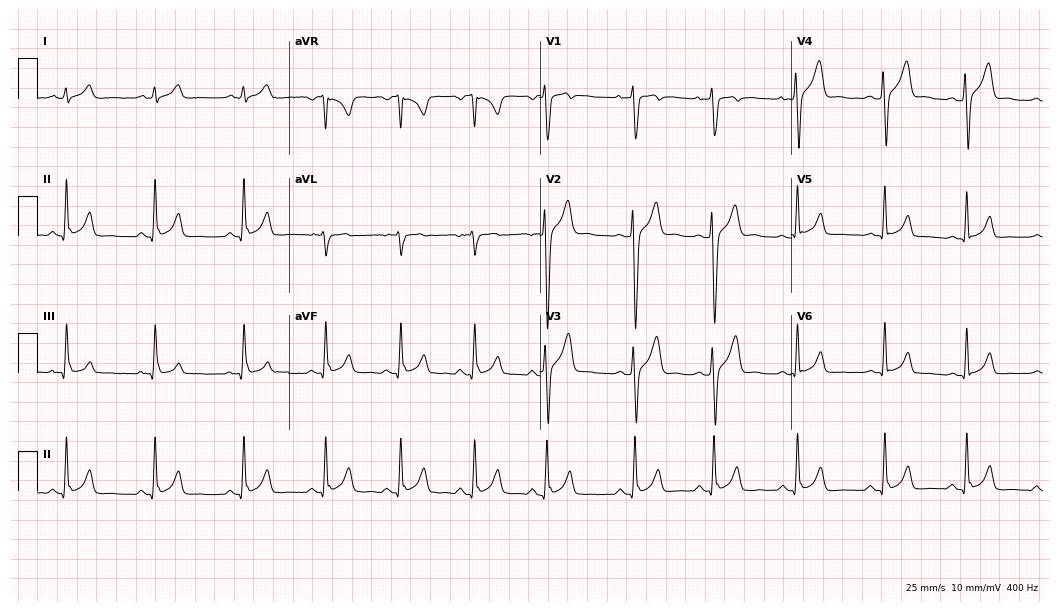
12-lead ECG (10.2-second recording at 400 Hz) from a male, 19 years old. Labelled as a normal ECG.